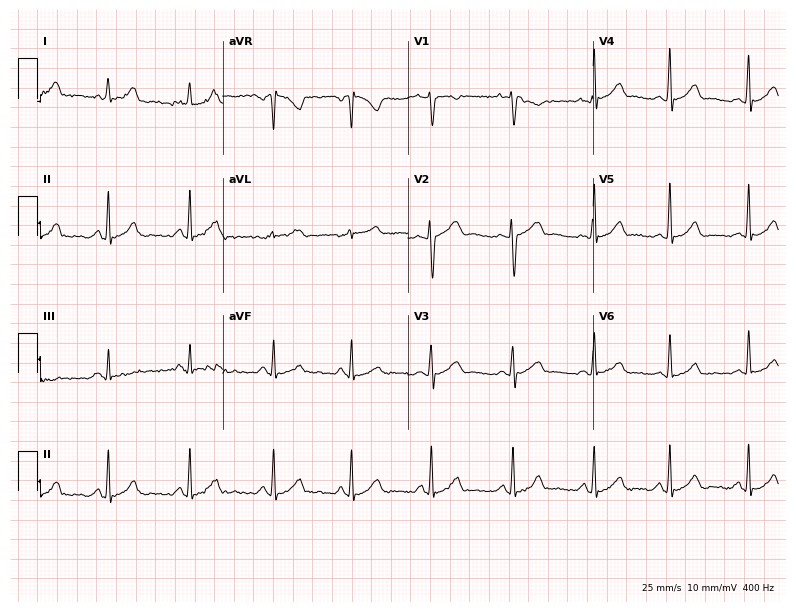
Resting 12-lead electrocardiogram (7.6-second recording at 400 Hz). Patient: a female, 26 years old. Read as a normal ECG.